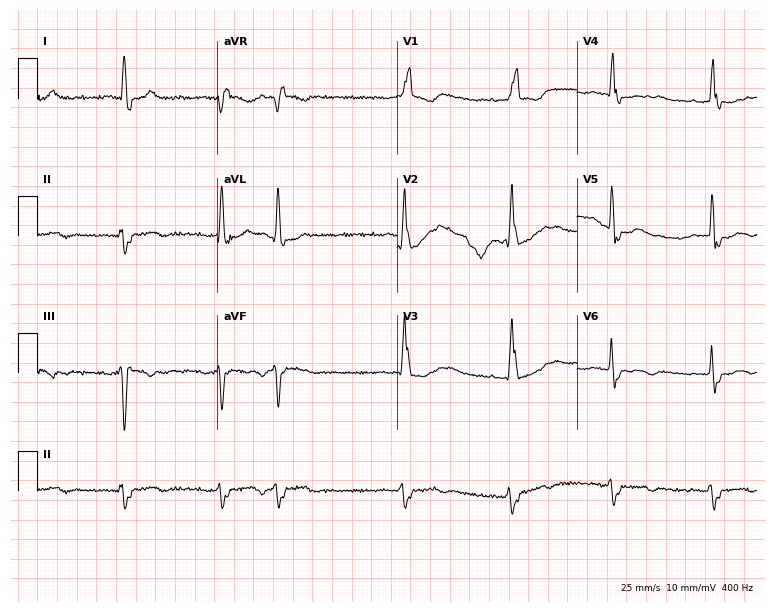
Electrocardiogram (7.3-second recording at 400 Hz), a woman, 75 years old. Of the six screened findings (first-degree AV block, right bundle branch block (RBBB), left bundle branch block (LBBB), sinus bradycardia, atrial fibrillation (AF), sinus tachycardia), none is recorded.